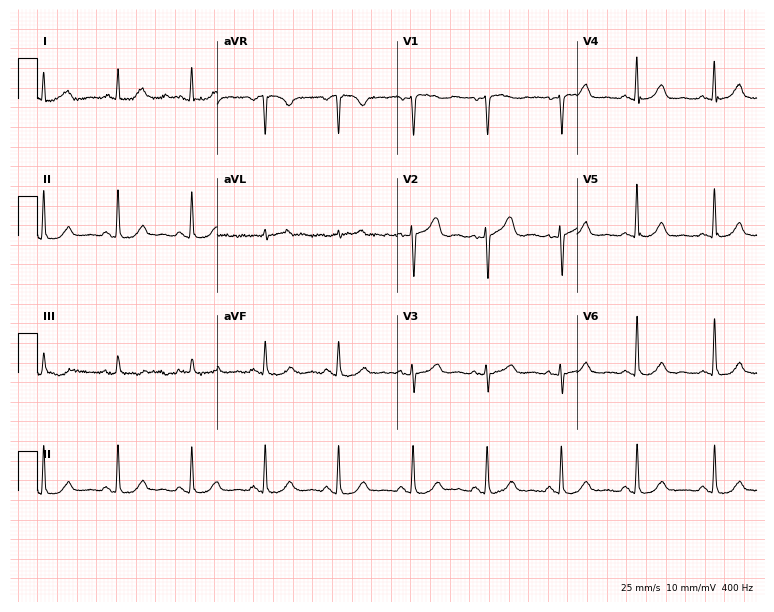
ECG (7.3-second recording at 400 Hz) — a female, 68 years old. Labelled as a normal ECG.